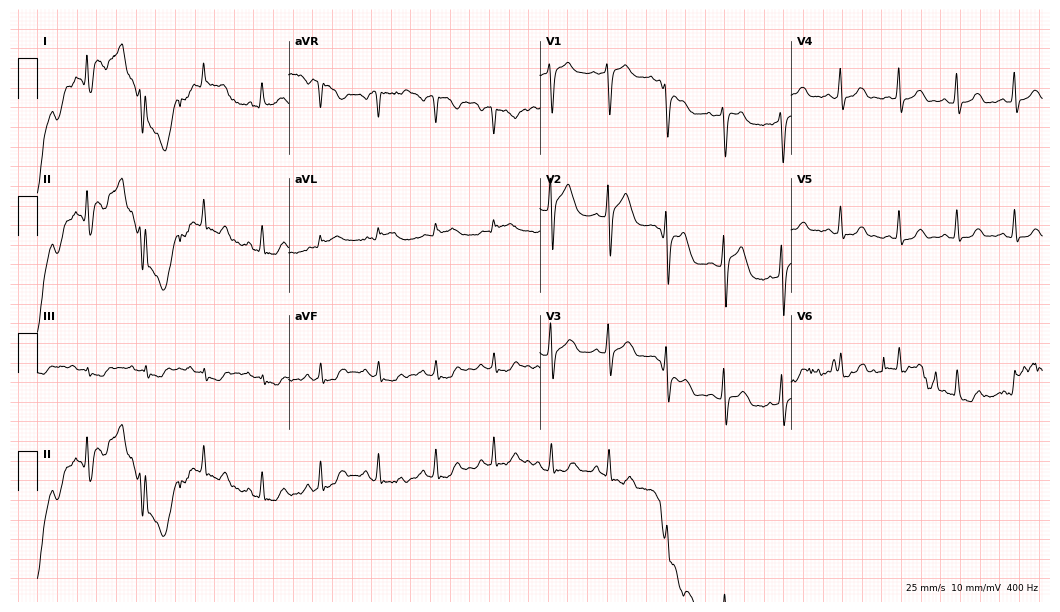
Standard 12-lead ECG recorded from a female patient, 66 years old. None of these six findings is recorded: first-degree AV block, right bundle branch block (RBBB), left bundle branch block (LBBB), sinus bradycardia, atrial fibrillation (AF), sinus tachycardia. Only these six findings were labelled.